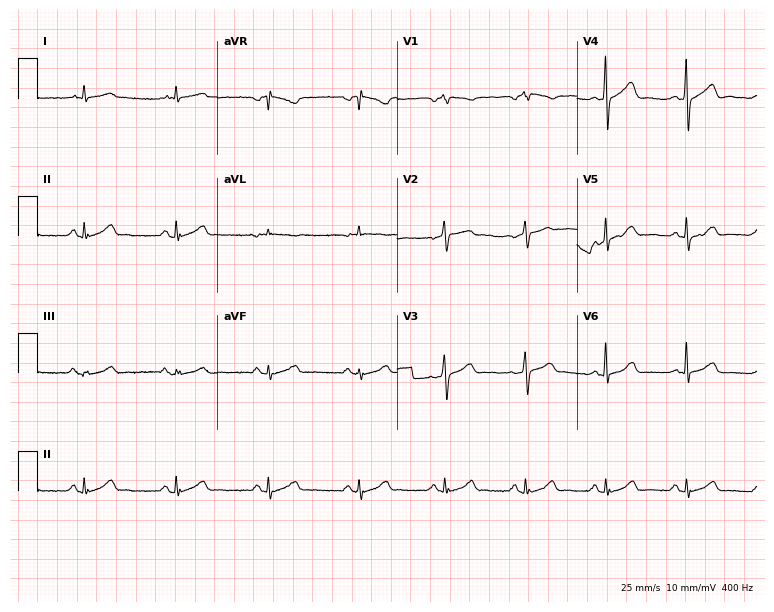
Standard 12-lead ECG recorded from a man, 84 years old (7.3-second recording at 400 Hz). Read as a normal ECG.